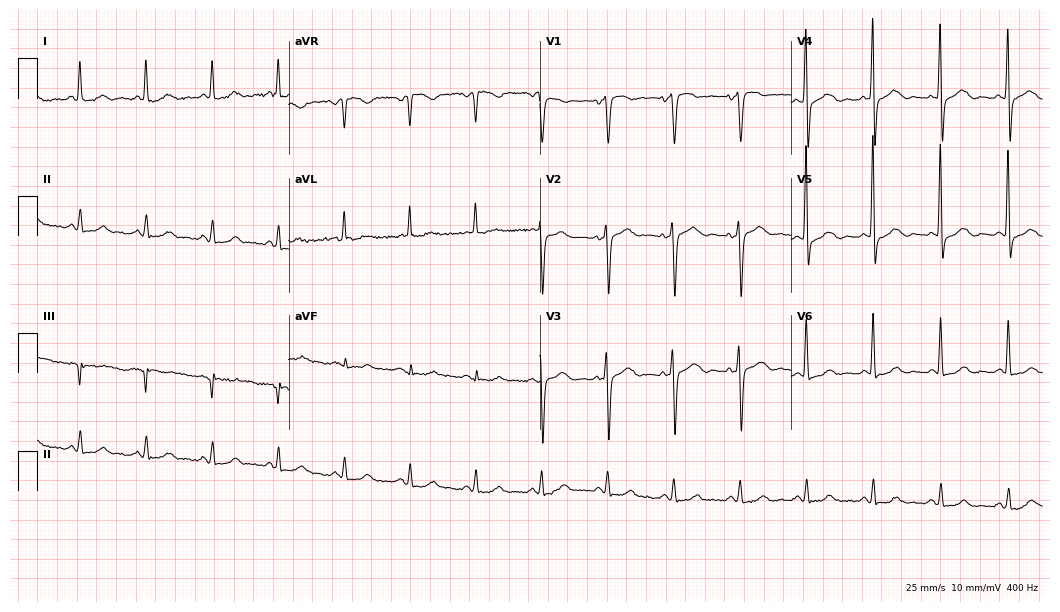
Electrocardiogram (10.2-second recording at 400 Hz), an 83-year-old male. Overall reading on record: normal ECG.